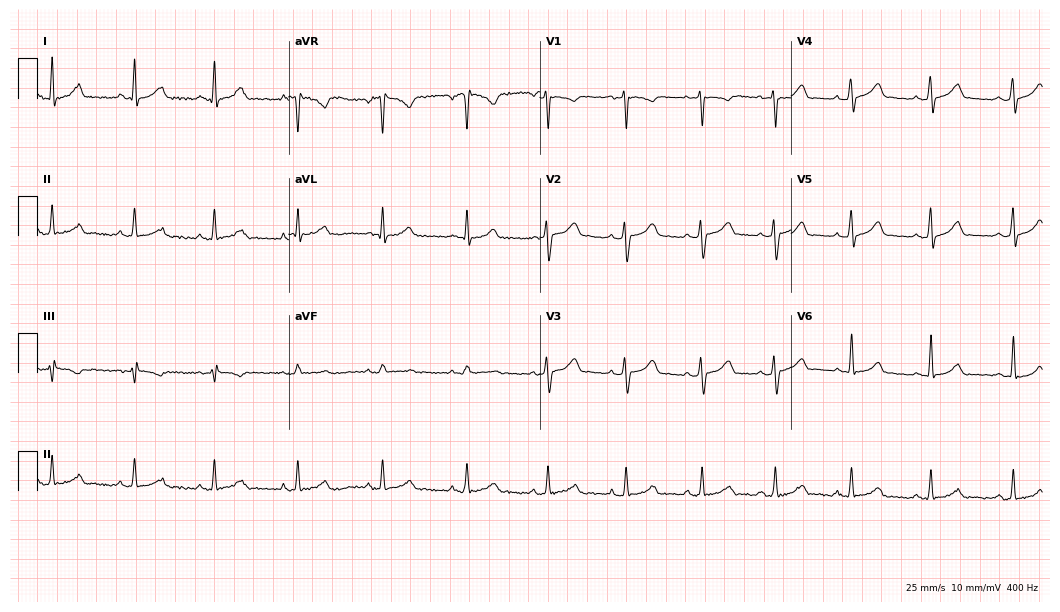
ECG — a 37-year-old woman. Labelled as a normal ECG.